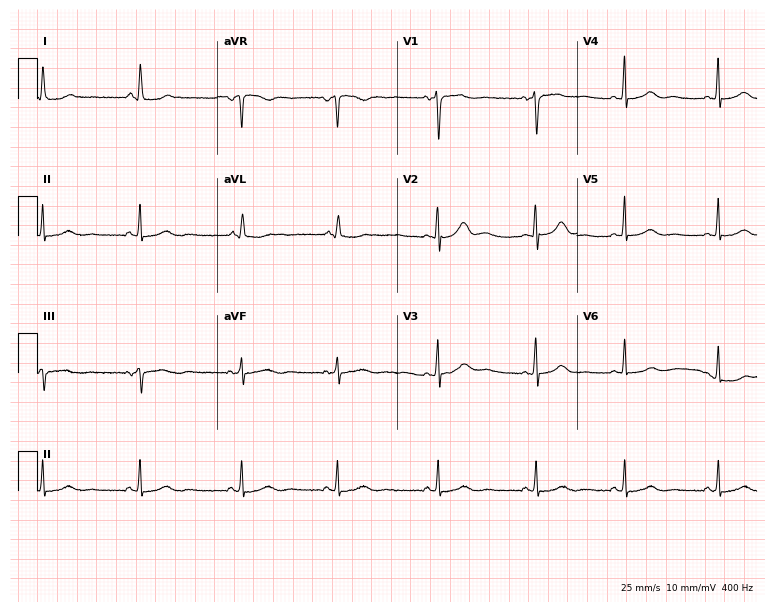
Standard 12-lead ECG recorded from a 36-year-old woman (7.3-second recording at 400 Hz). Read as a normal ECG.